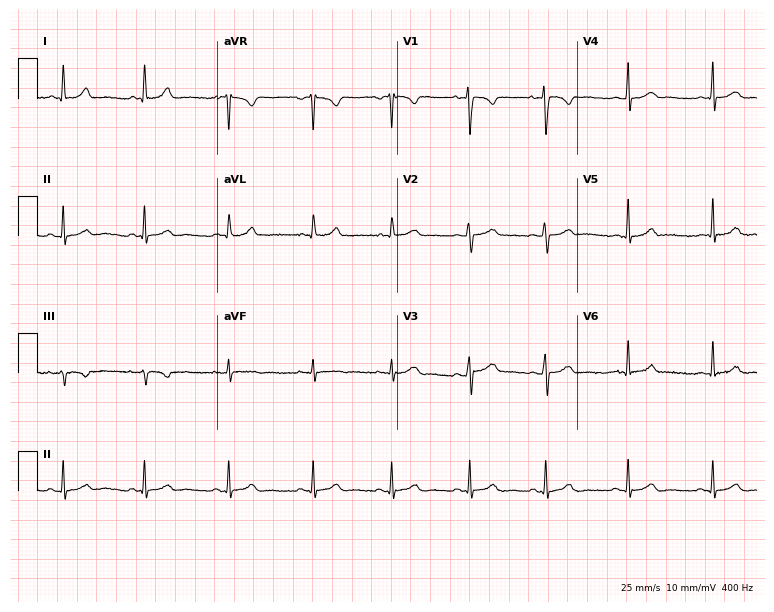
ECG (7.3-second recording at 400 Hz) — a 25-year-old female patient. Labelled as a normal ECG.